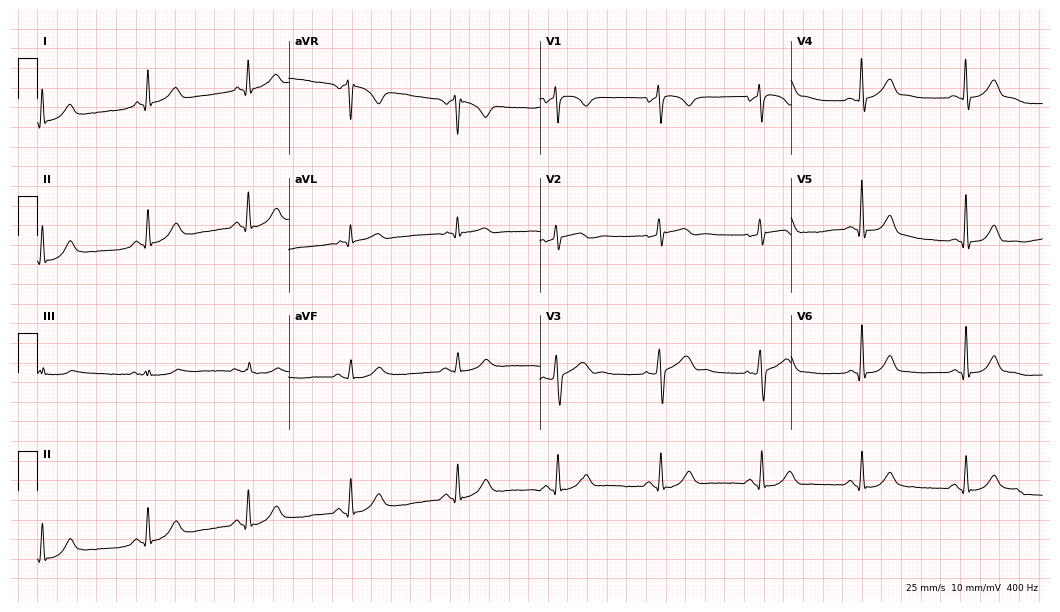
Electrocardiogram, a male patient, 64 years old. Of the six screened findings (first-degree AV block, right bundle branch block, left bundle branch block, sinus bradycardia, atrial fibrillation, sinus tachycardia), none is recorded. Only these six findings were labelled.